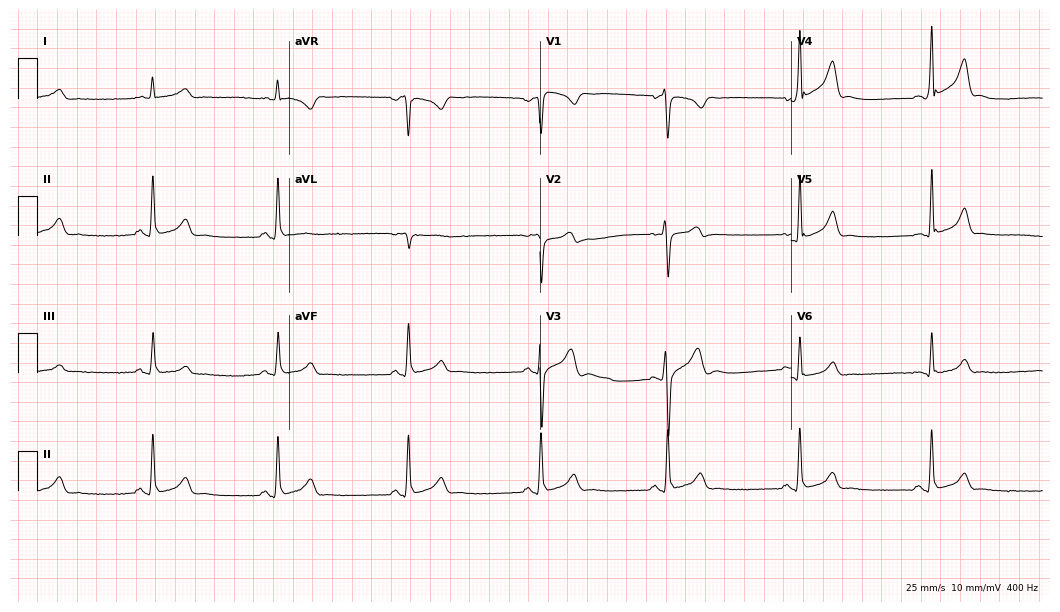
12-lead ECG (10.2-second recording at 400 Hz) from a male, 26 years old. Findings include sinus bradycardia (a sinus rate of 50 beats per minute or less).